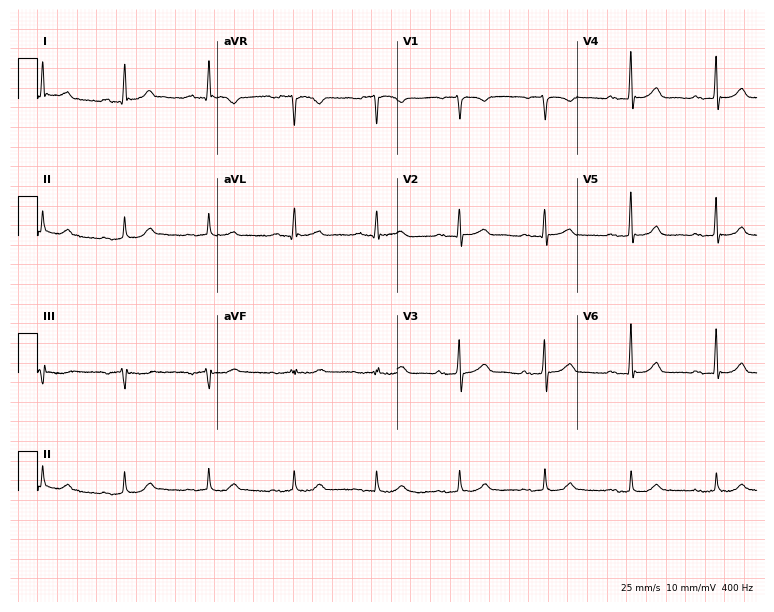
ECG (7.3-second recording at 400 Hz) — a male patient, 75 years old. Findings include first-degree AV block.